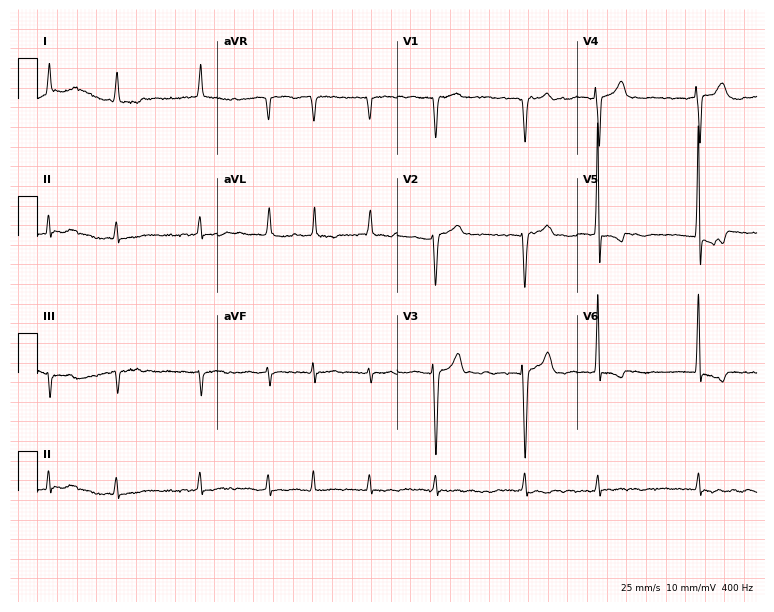
12-lead ECG from a 75-year-old man (7.3-second recording at 400 Hz). Shows atrial fibrillation.